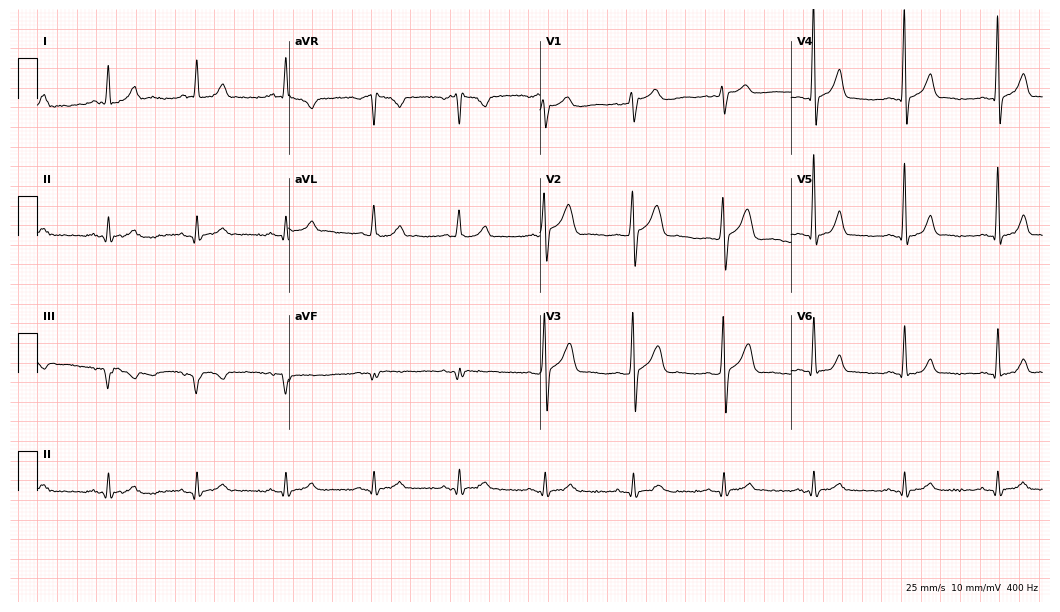
Resting 12-lead electrocardiogram (10.2-second recording at 400 Hz). Patient: a 44-year-old male. None of these six findings is recorded: first-degree AV block, right bundle branch block, left bundle branch block, sinus bradycardia, atrial fibrillation, sinus tachycardia. Other findings, if any, are not listed.